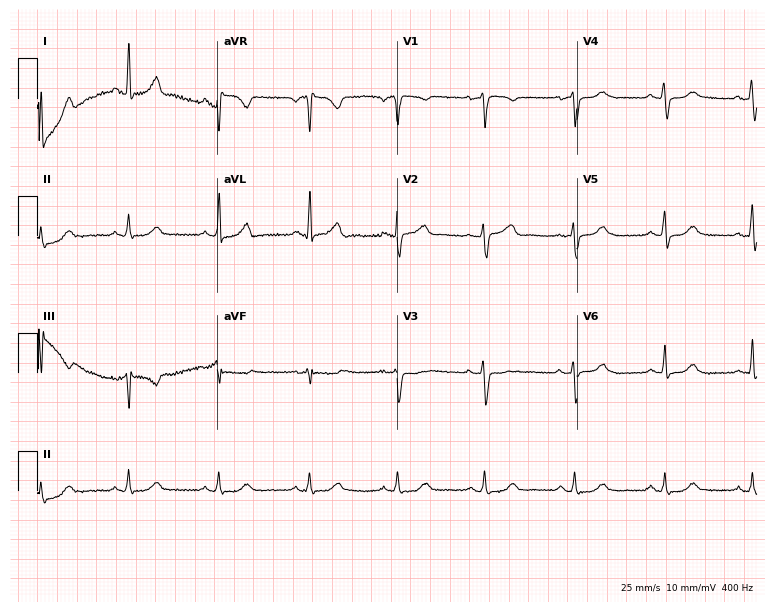
ECG — a 53-year-old female. Labelled as a normal ECG.